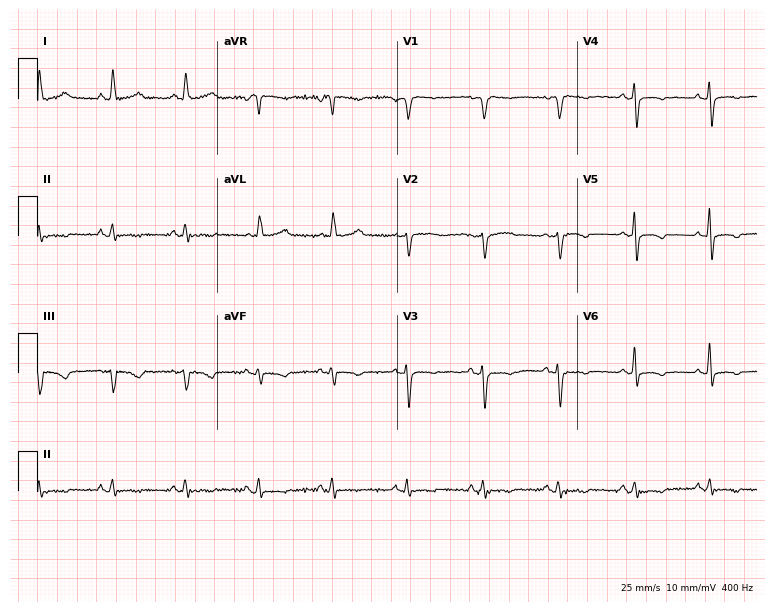
Standard 12-lead ECG recorded from a 57-year-old female patient (7.3-second recording at 400 Hz). None of these six findings is recorded: first-degree AV block, right bundle branch block, left bundle branch block, sinus bradycardia, atrial fibrillation, sinus tachycardia.